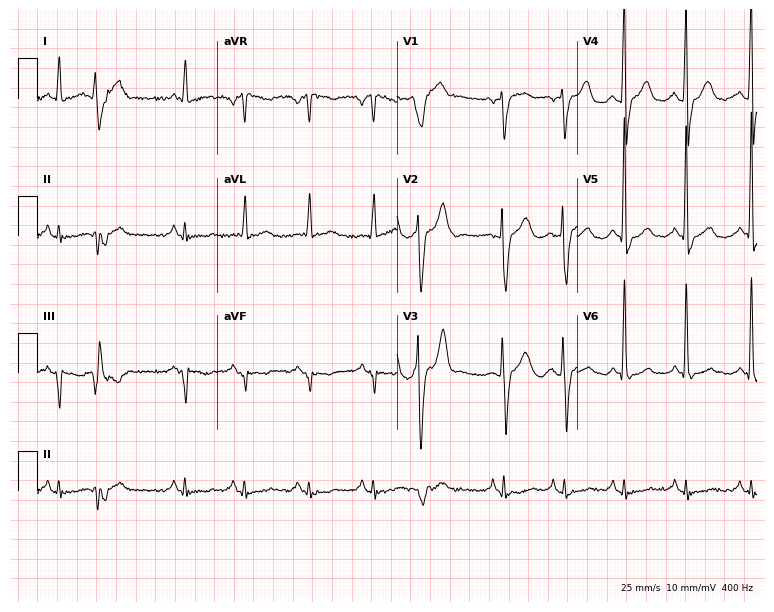
12-lead ECG from a 70-year-old male. Screened for six findings — first-degree AV block, right bundle branch block, left bundle branch block, sinus bradycardia, atrial fibrillation, sinus tachycardia — none is recorded. Findings outside these six are not listed.